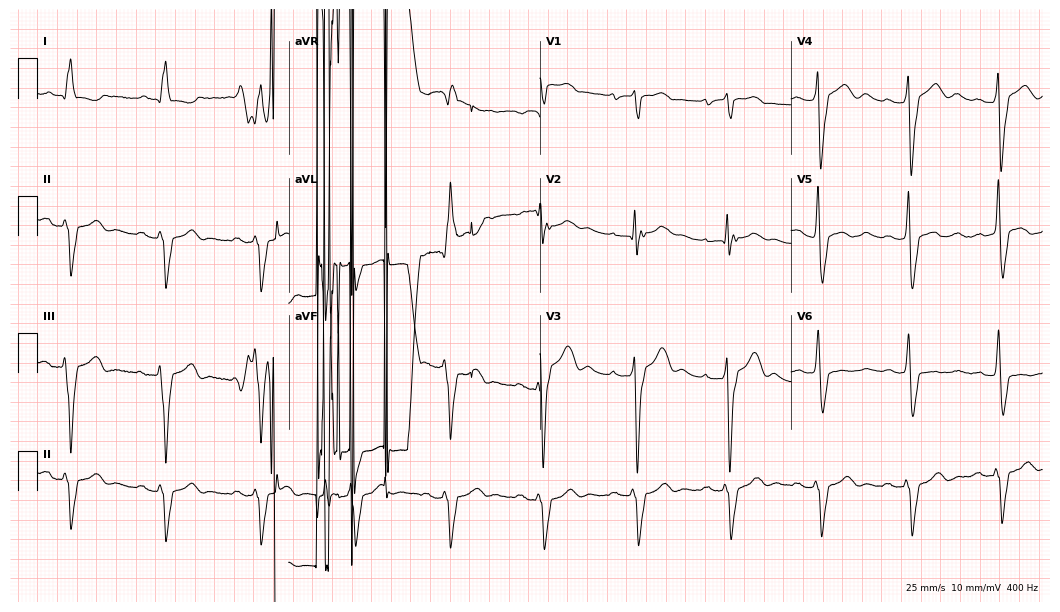
12-lead ECG from a man, 74 years old. No first-degree AV block, right bundle branch block (RBBB), left bundle branch block (LBBB), sinus bradycardia, atrial fibrillation (AF) or sinus tachycardia recorded for this tracing. Only these six findings were labelled.